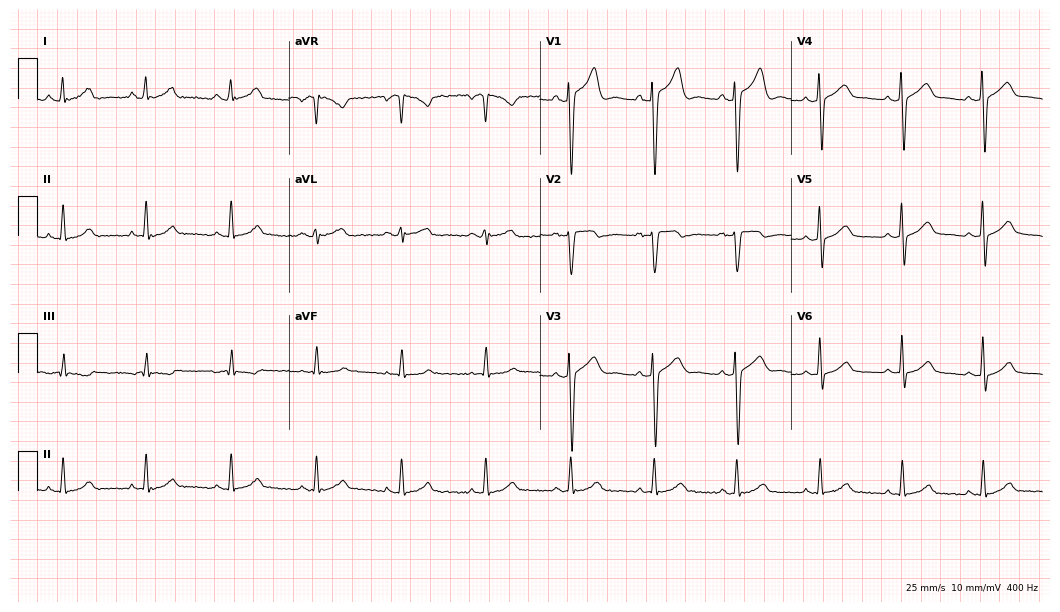
12-lead ECG (10.2-second recording at 400 Hz) from a 29-year-old man. Screened for six findings — first-degree AV block, right bundle branch block, left bundle branch block, sinus bradycardia, atrial fibrillation, sinus tachycardia — none is recorded.